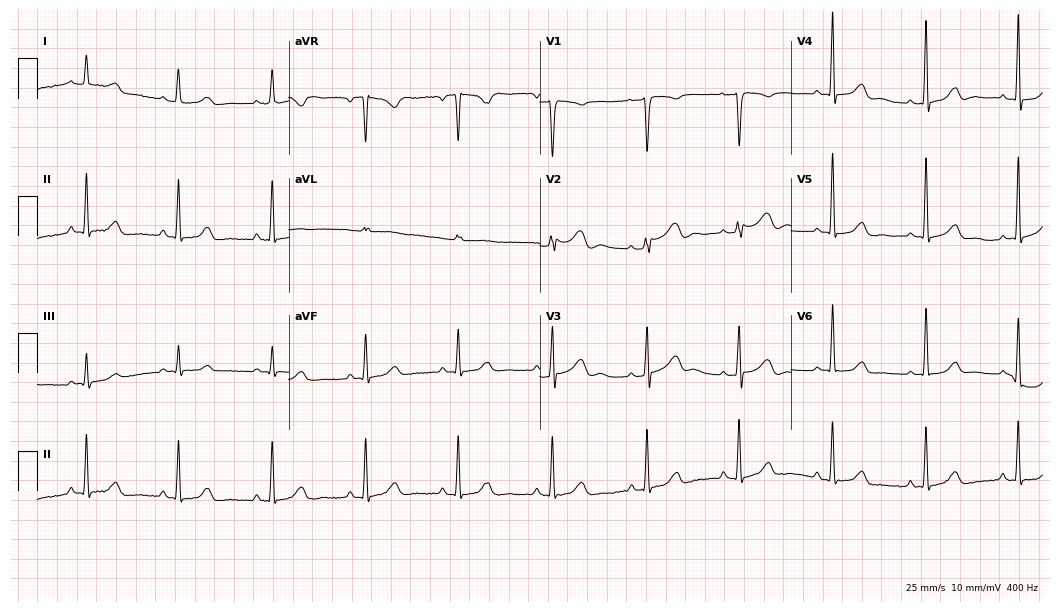
12-lead ECG (10.2-second recording at 400 Hz) from a female, 49 years old. Labelled as a normal ECG.